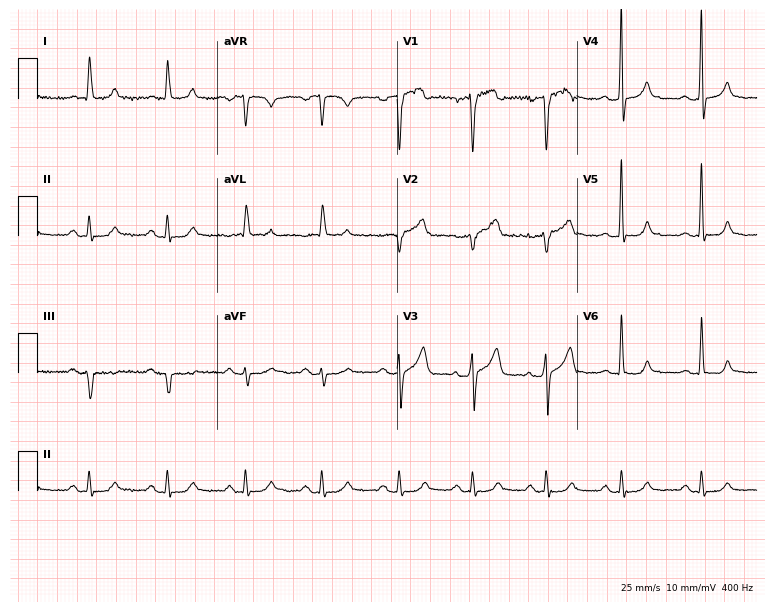
12-lead ECG (7.3-second recording at 400 Hz) from a 61-year-old man. Labelled as a normal ECG.